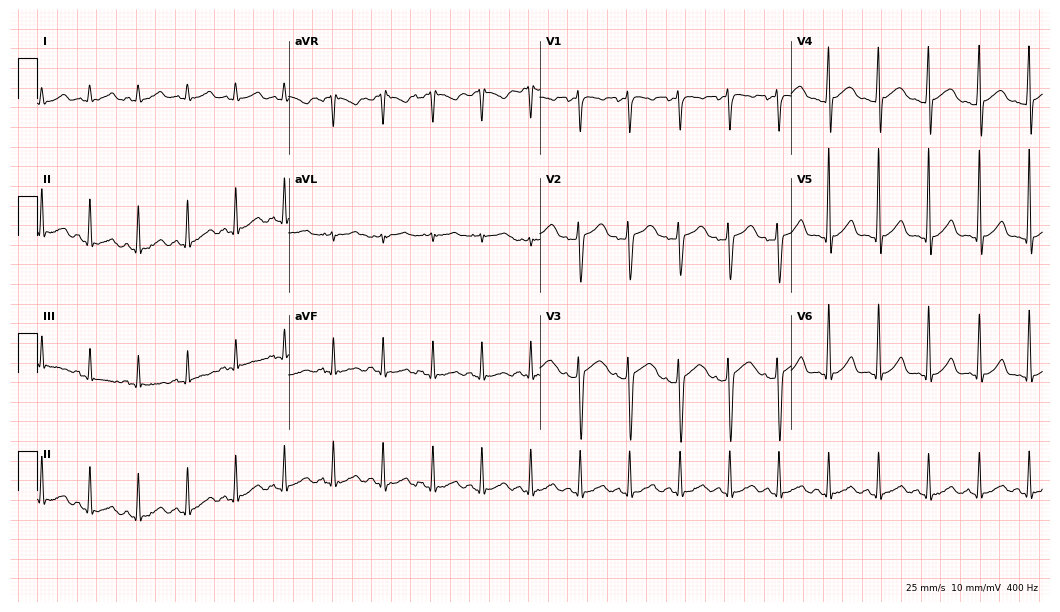
12-lead ECG from a 30-year-old woman (10.2-second recording at 400 Hz). Shows sinus tachycardia (a sinus rate of 100 beats per minute or more).